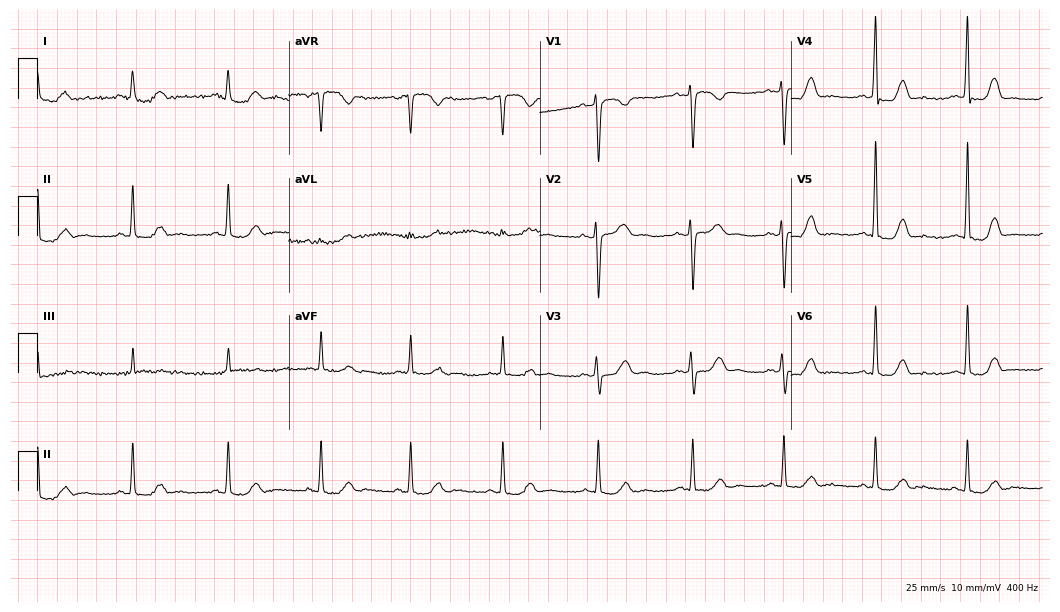
Resting 12-lead electrocardiogram. Patient: a female, 49 years old. None of these six findings is recorded: first-degree AV block, right bundle branch block, left bundle branch block, sinus bradycardia, atrial fibrillation, sinus tachycardia. Findings outside these six are not listed.